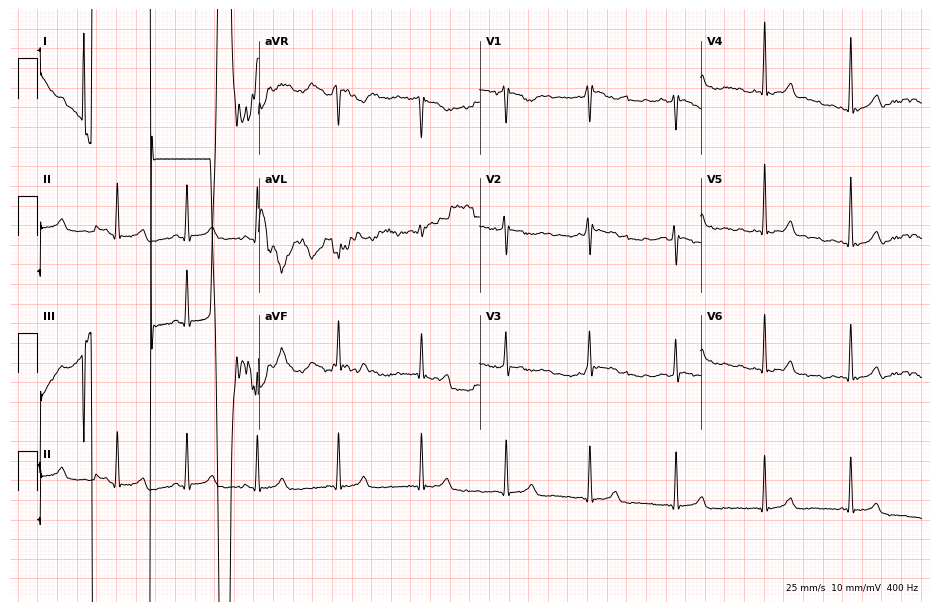
Electrocardiogram, a woman, 24 years old. Of the six screened findings (first-degree AV block, right bundle branch block (RBBB), left bundle branch block (LBBB), sinus bradycardia, atrial fibrillation (AF), sinus tachycardia), none is recorded.